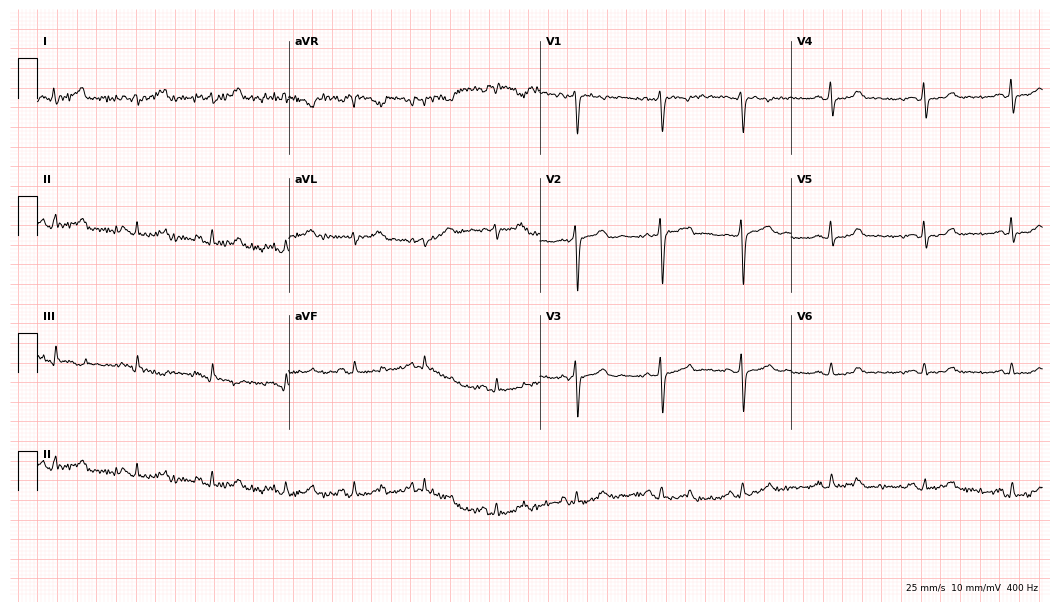
12-lead ECG from a woman, 45 years old (10.2-second recording at 400 Hz). No first-degree AV block, right bundle branch block, left bundle branch block, sinus bradycardia, atrial fibrillation or sinus tachycardia recorded for this tracing.